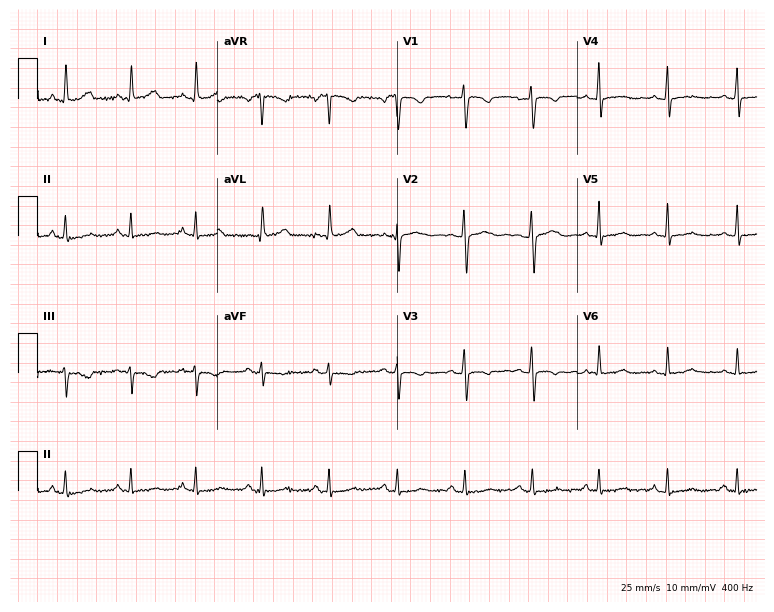
12-lead ECG (7.3-second recording at 400 Hz) from a female patient, 41 years old. Labelled as a normal ECG.